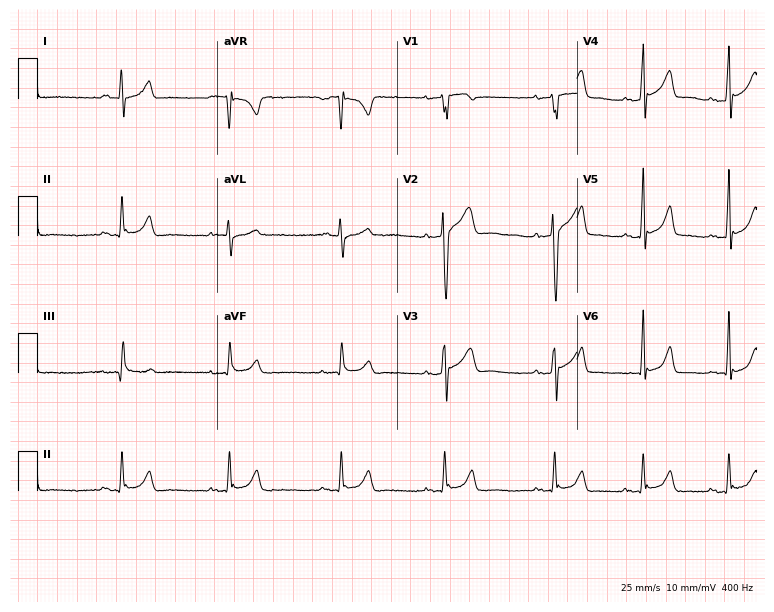
12-lead ECG from a 20-year-old male patient. Labelled as a normal ECG.